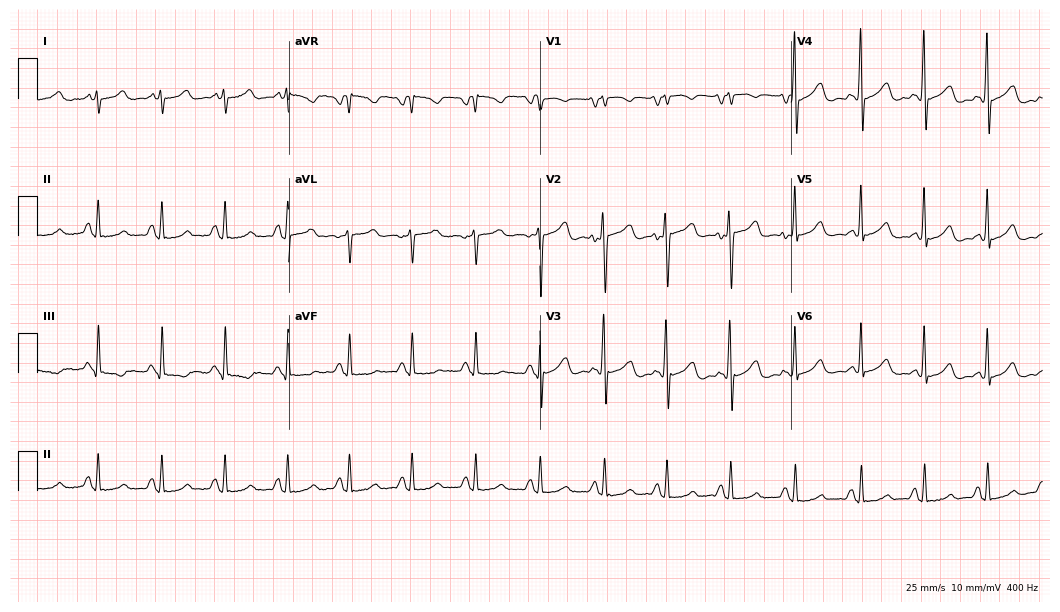
12-lead ECG from a female, 25 years old. Screened for six findings — first-degree AV block, right bundle branch block (RBBB), left bundle branch block (LBBB), sinus bradycardia, atrial fibrillation (AF), sinus tachycardia — none is recorded.